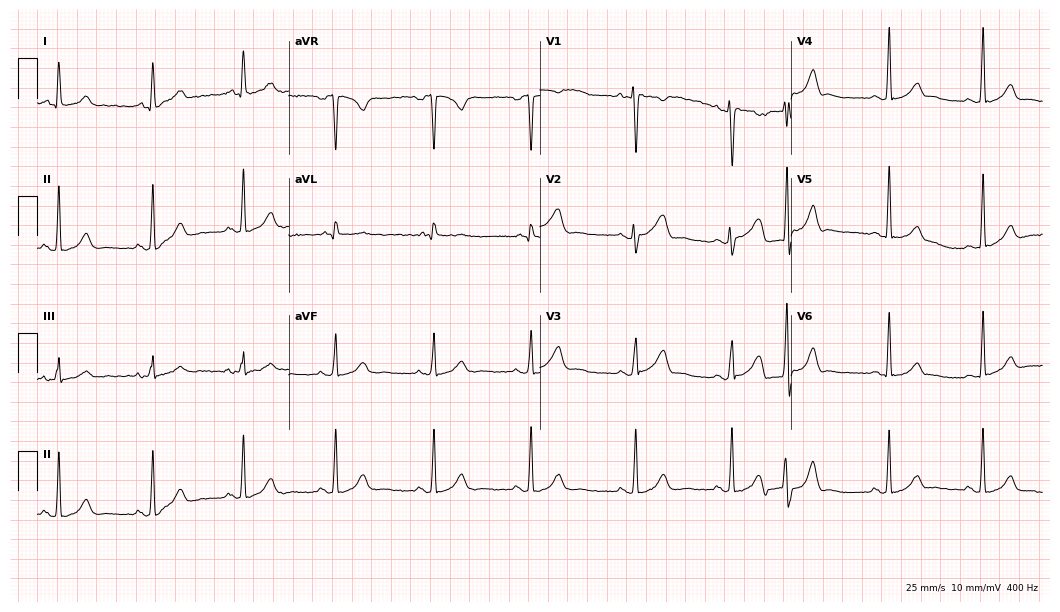
Standard 12-lead ECG recorded from a 19-year-old woman. Read as a normal ECG.